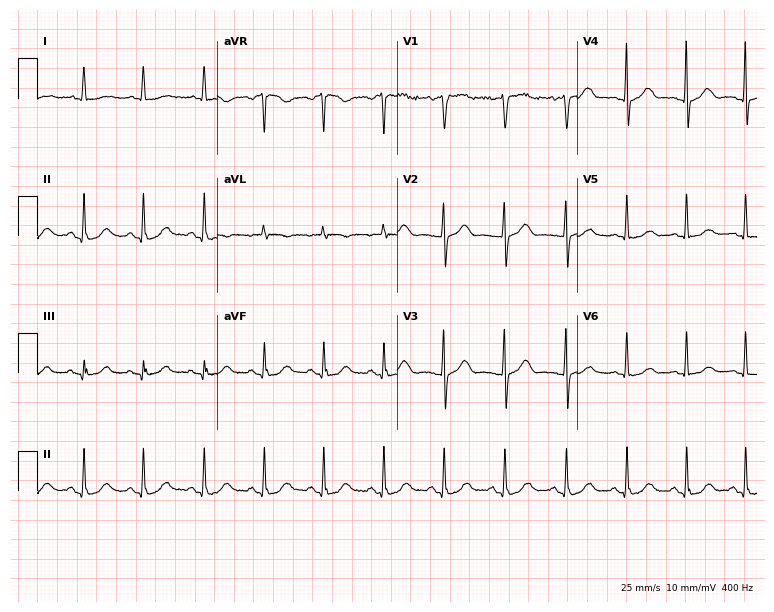
Electrocardiogram (7.3-second recording at 400 Hz), a female, 74 years old. Of the six screened findings (first-degree AV block, right bundle branch block (RBBB), left bundle branch block (LBBB), sinus bradycardia, atrial fibrillation (AF), sinus tachycardia), none is recorded. Other findings, if any, are not listed.